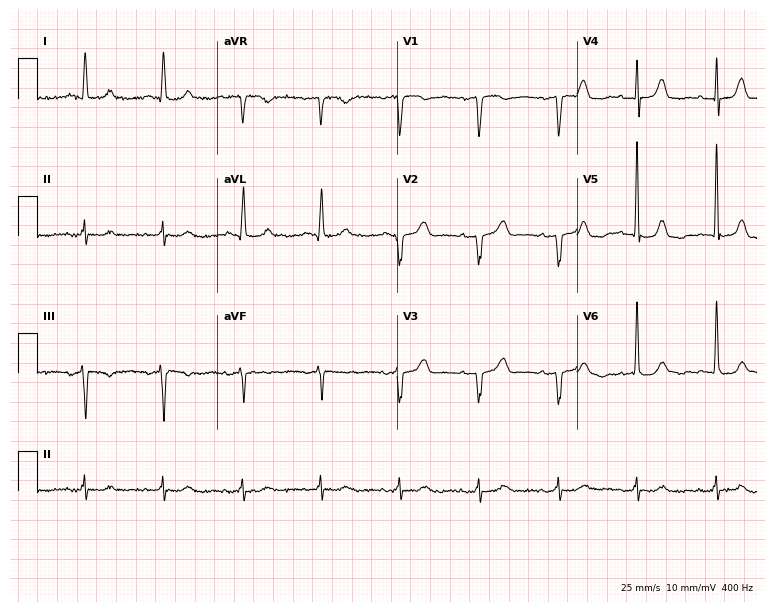
12-lead ECG from an 84-year-old female patient. Labelled as a normal ECG.